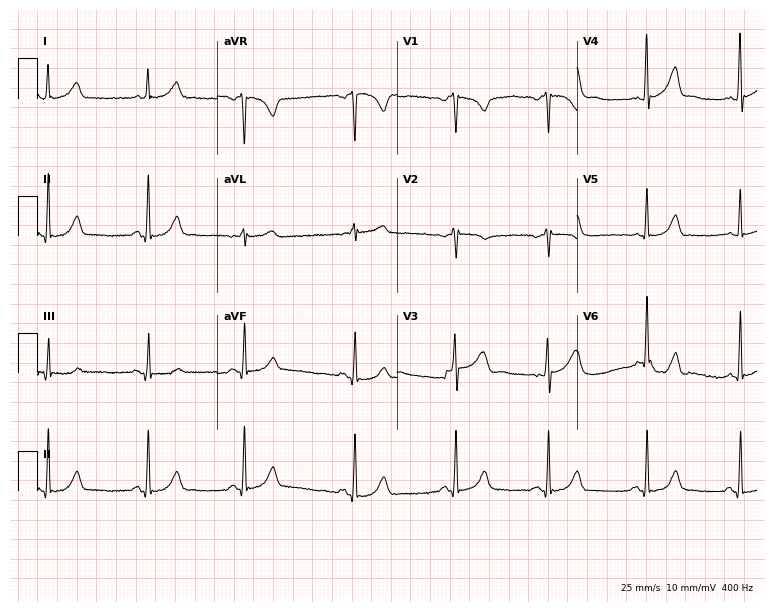
ECG (7.3-second recording at 400 Hz) — a woman, 40 years old. Screened for six findings — first-degree AV block, right bundle branch block (RBBB), left bundle branch block (LBBB), sinus bradycardia, atrial fibrillation (AF), sinus tachycardia — none is recorded.